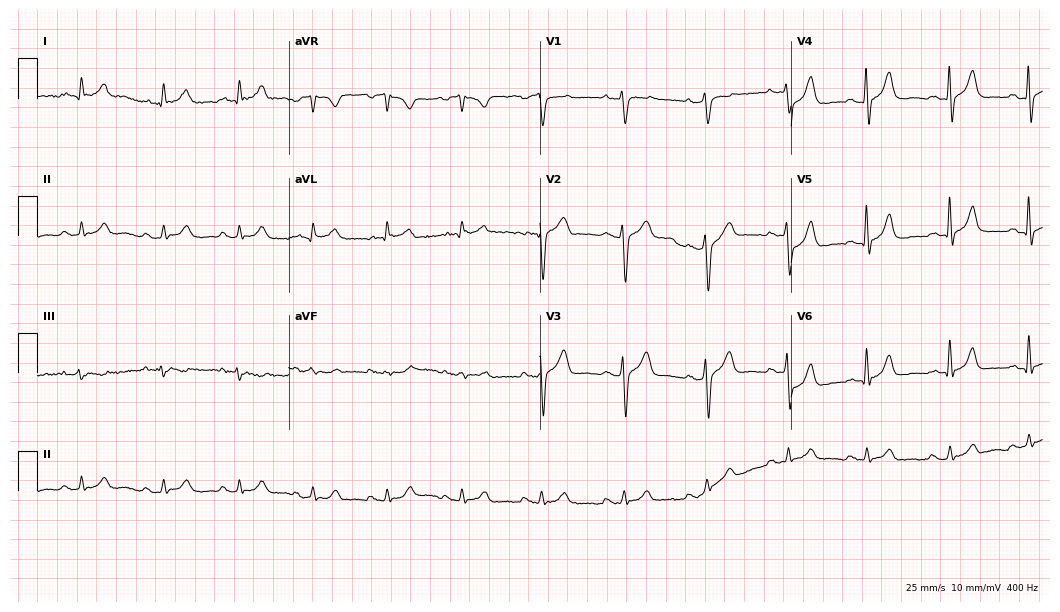
Resting 12-lead electrocardiogram (10.2-second recording at 400 Hz). Patient: a 43-year-old man. Read as a normal ECG.